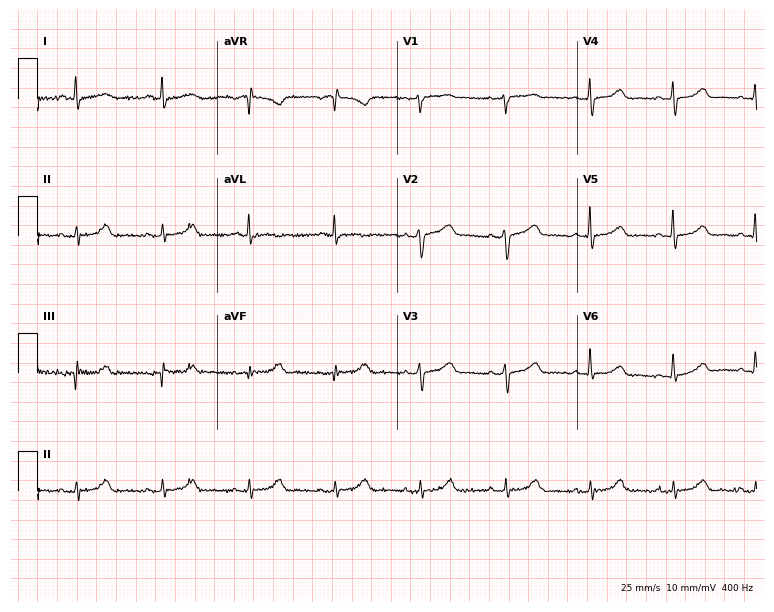
Resting 12-lead electrocardiogram. Patient: a 71-year-old woman. Read as a normal ECG.